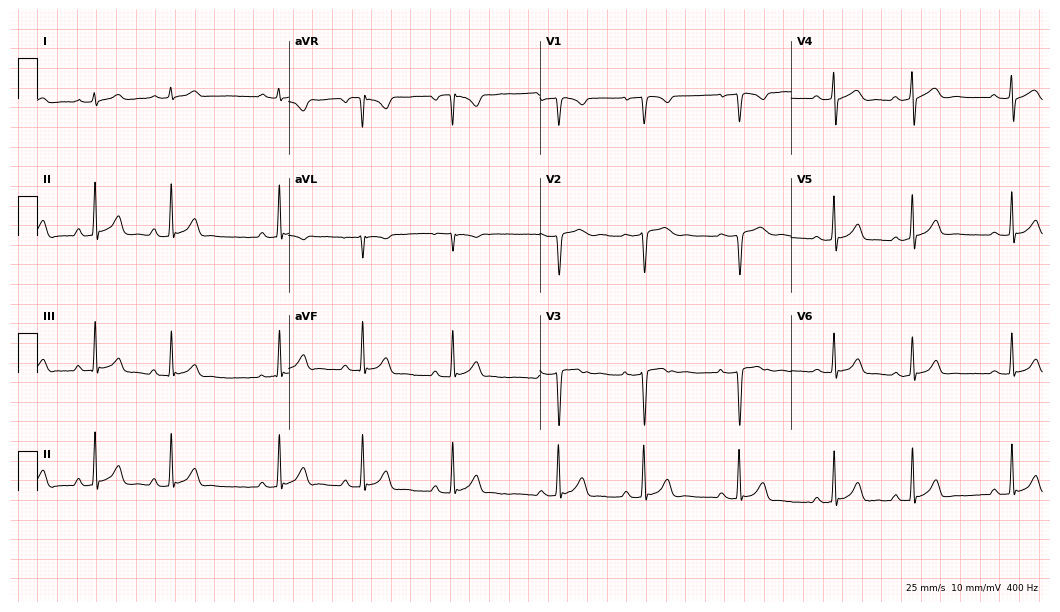
Standard 12-lead ECG recorded from an 18-year-old woman. None of these six findings is recorded: first-degree AV block, right bundle branch block (RBBB), left bundle branch block (LBBB), sinus bradycardia, atrial fibrillation (AF), sinus tachycardia.